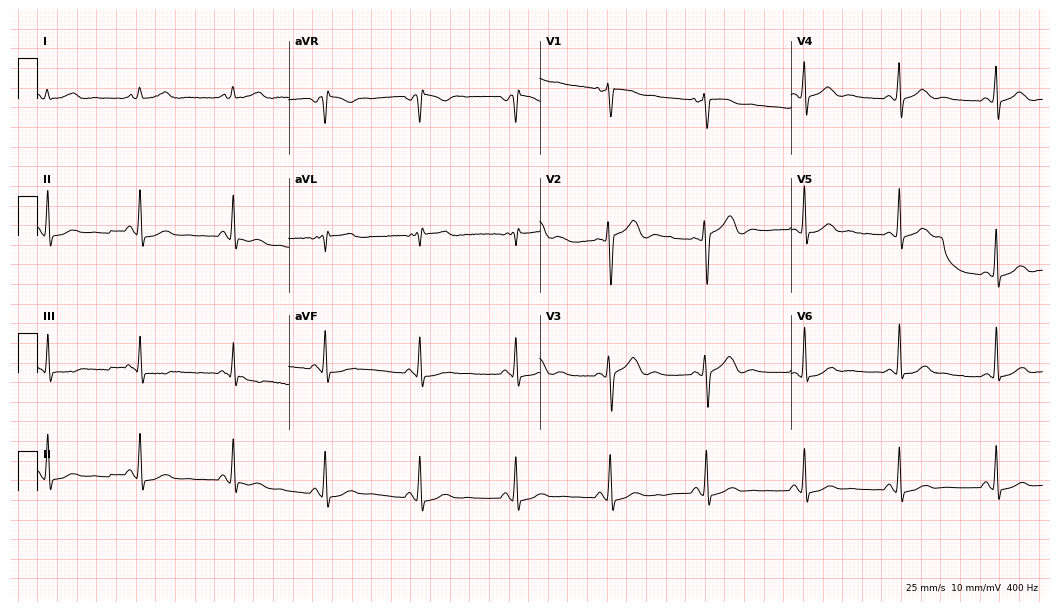
Resting 12-lead electrocardiogram. Patient: a 40-year-old female. Read as a normal ECG.